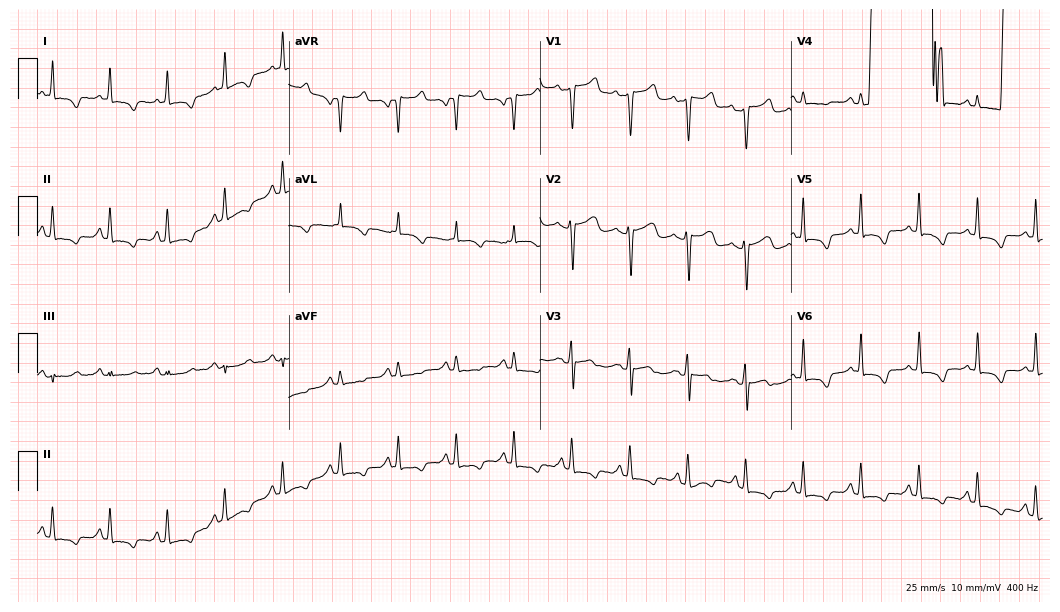
Standard 12-lead ECG recorded from a woman, 64 years old (10.2-second recording at 400 Hz). None of these six findings is recorded: first-degree AV block, right bundle branch block, left bundle branch block, sinus bradycardia, atrial fibrillation, sinus tachycardia. Only these six findings were labelled.